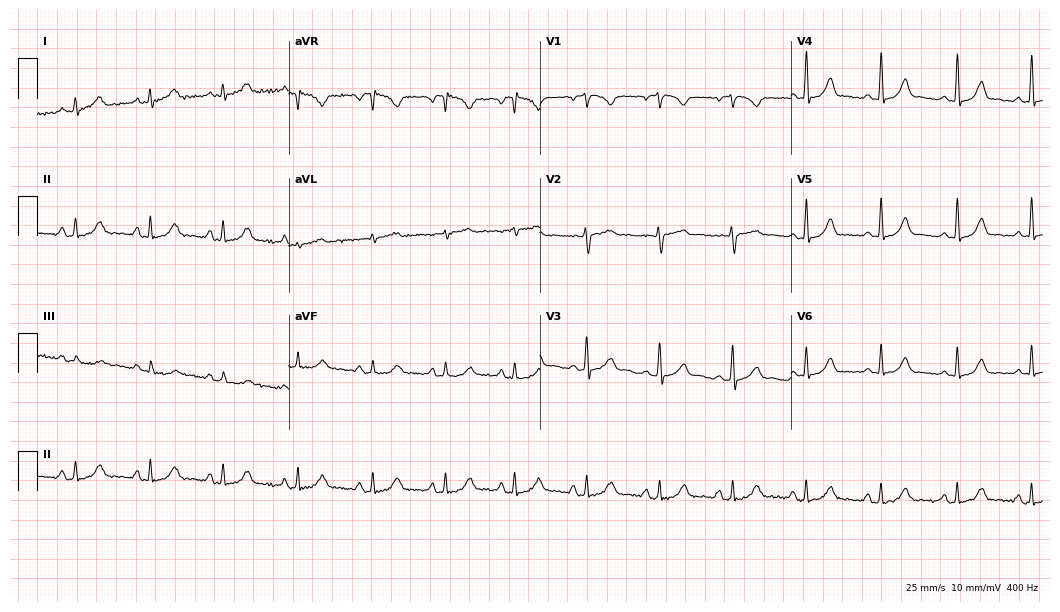
Standard 12-lead ECG recorded from a female, 41 years old (10.2-second recording at 400 Hz). Read as a normal ECG.